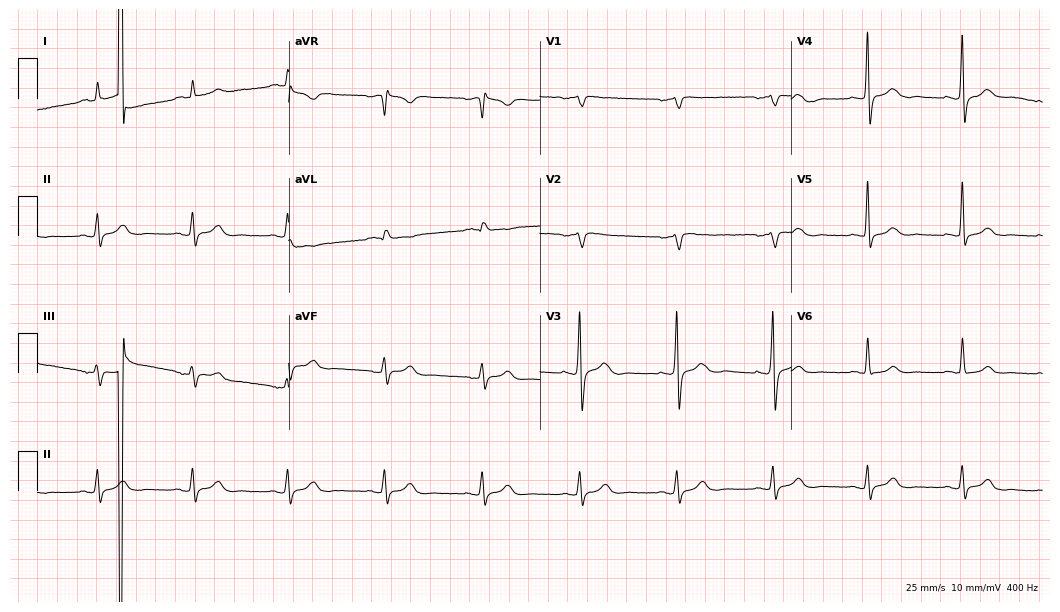
Standard 12-lead ECG recorded from a 67-year-old man. Read as a normal ECG.